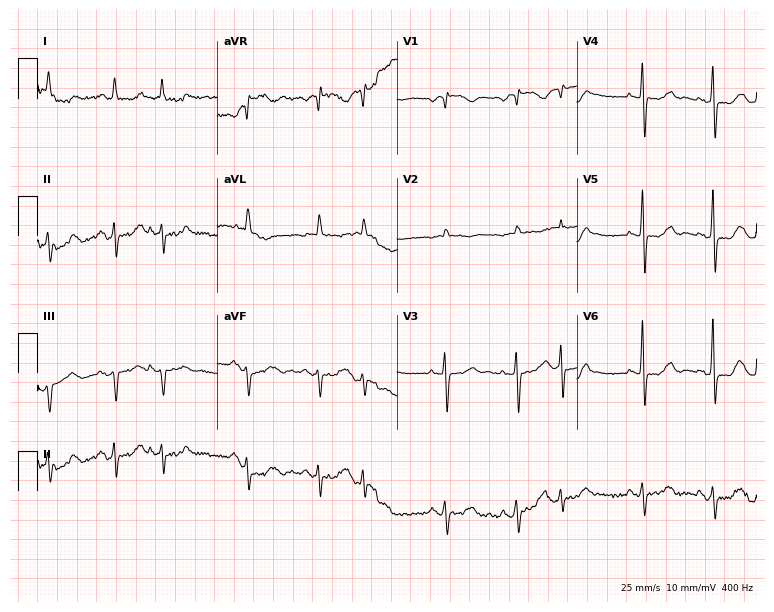
ECG (7.3-second recording at 400 Hz) — a female patient, 78 years old. Screened for six findings — first-degree AV block, right bundle branch block (RBBB), left bundle branch block (LBBB), sinus bradycardia, atrial fibrillation (AF), sinus tachycardia — none is recorded.